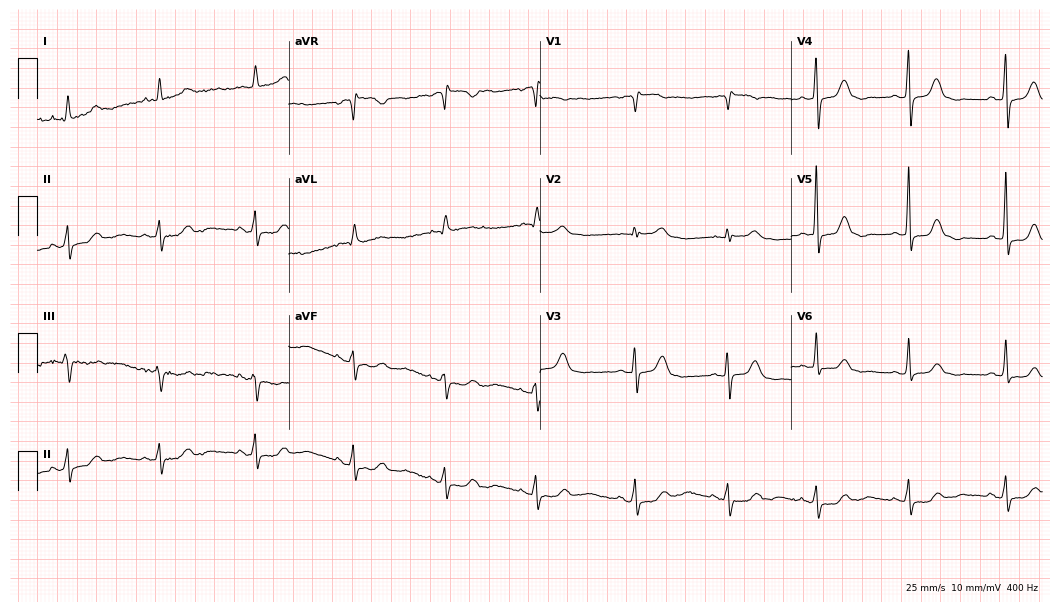
12-lead ECG (10.2-second recording at 400 Hz) from a female patient, 76 years old. Labelled as a normal ECG.